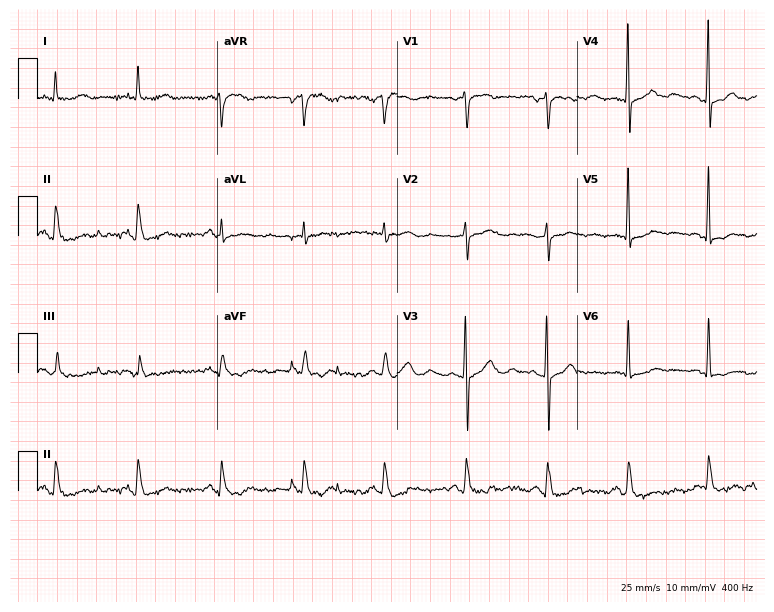
12-lead ECG from a woman, 80 years old. Recorded interpretation: within normal limits.